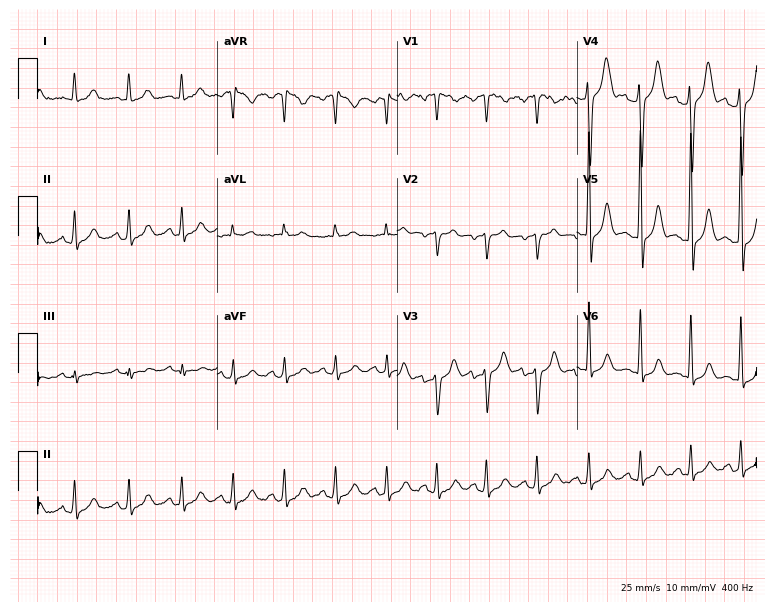
Resting 12-lead electrocardiogram. Patient: a female, 35 years old. The tracing shows sinus tachycardia (a sinus rate of 100 beats per minute or more).